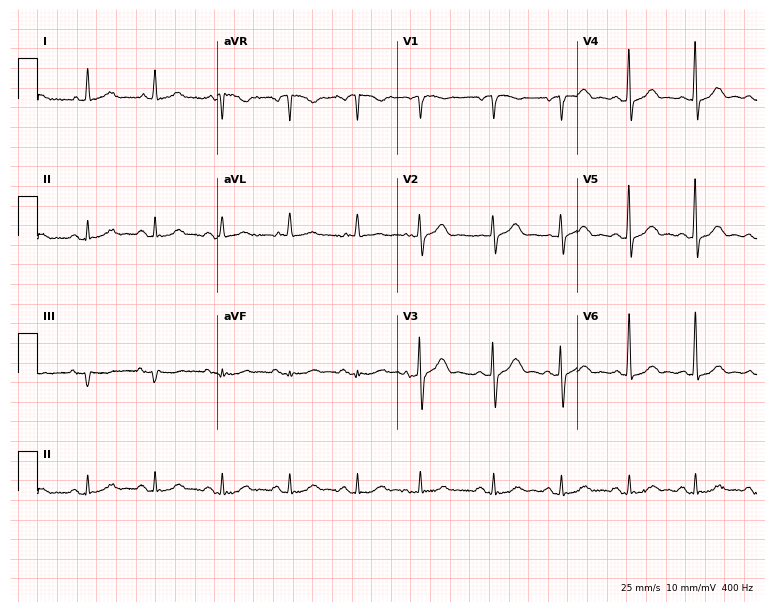
ECG (7.3-second recording at 400 Hz) — an 83-year-old male patient. Labelled as a normal ECG.